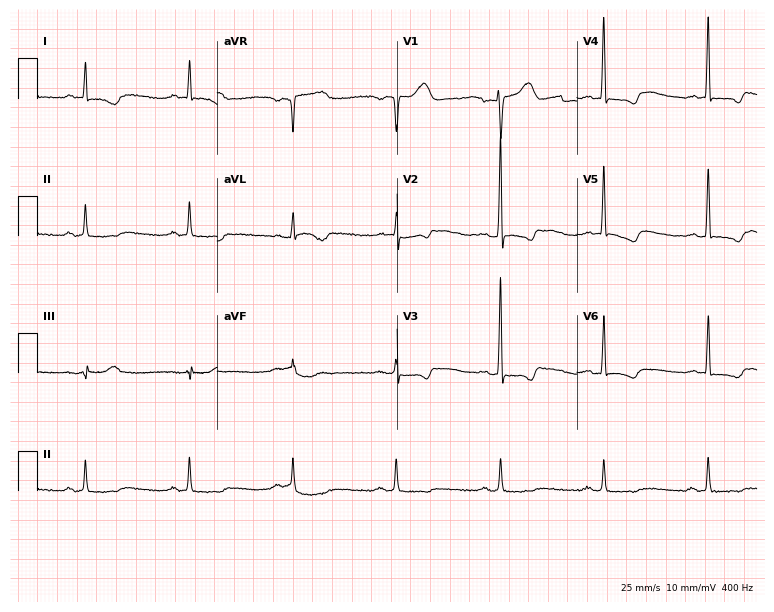
Standard 12-lead ECG recorded from a male, 67 years old. None of these six findings is recorded: first-degree AV block, right bundle branch block (RBBB), left bundle branch block (LBBB), sinus bradycardia, atrial fibrillation (AF), sinus tachycardia.